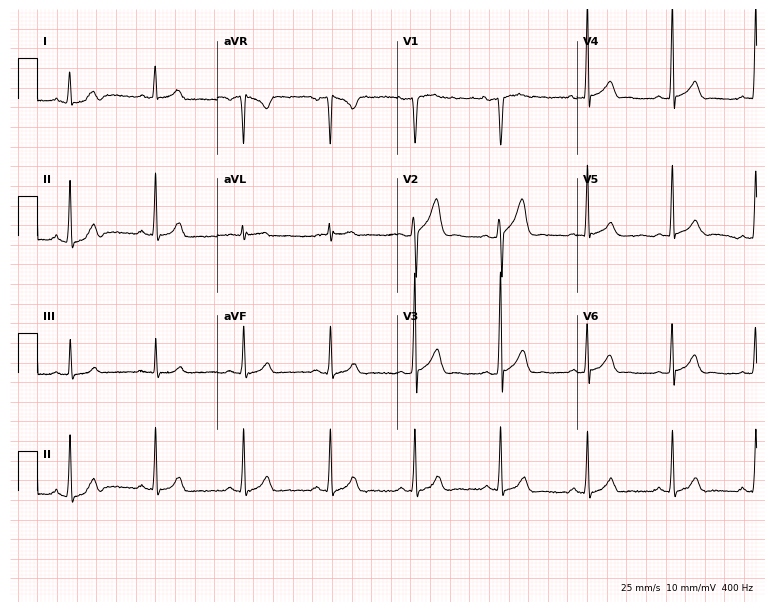
Resting 12-lead electrocardiogram. Patient: a man, 37 years old. None of these six findings is recorded: first-degree AV block, right bundle branch block, left bundle branch block, sinus bradycardia, atrial fibrillation, sinus tachycardia. Findings outside these six are not listed.